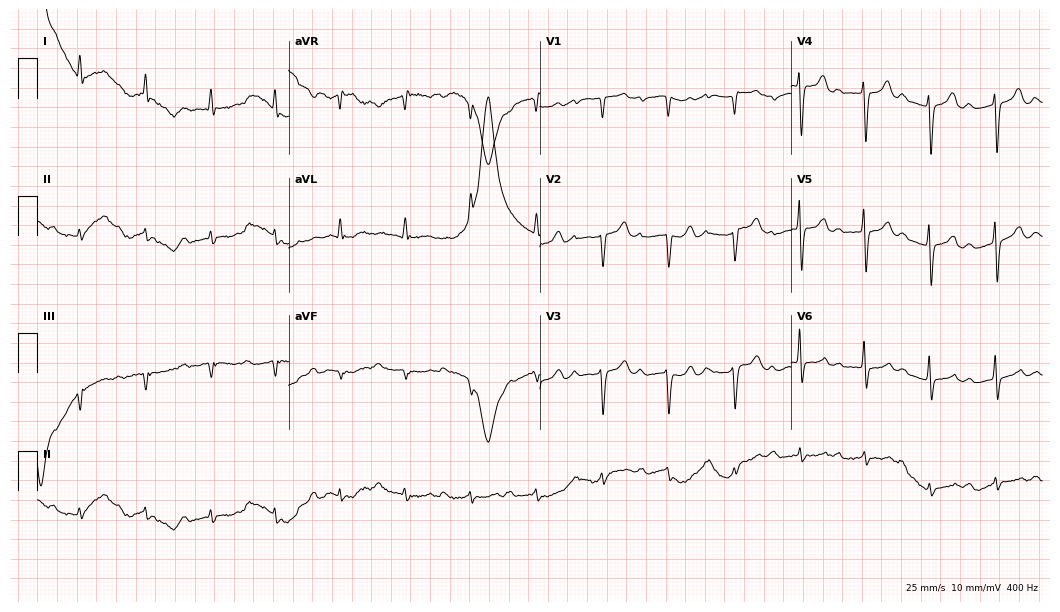
Standard 12-lead ECG recorded from a male, 70 years old (10.2-second recording at 400 Hz). The tracing shows first-degree AV block.